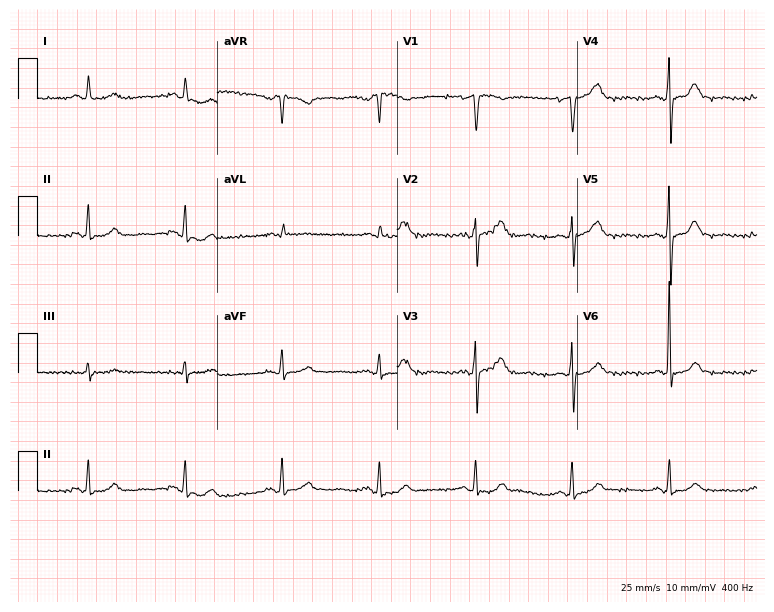
Electrocardiogram, a woman, 83 years old. Overall reading on record: normal ECG.